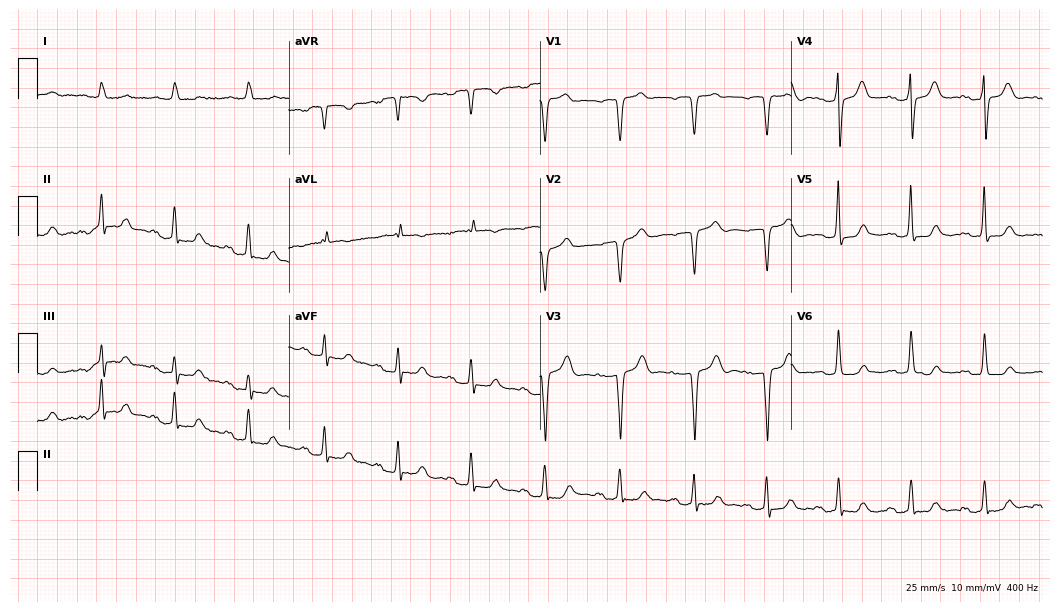
12-lead ECG (10.2-second recording at 400 Hz) from a female patient, 84 years old. Screened for six findings — first-degree AV block, right bundle branch block, left bundle branch block, sinus bradycardia, atrial fibrillation, sinus tachycardia — none is recorded. Findings outside these six are not listed.